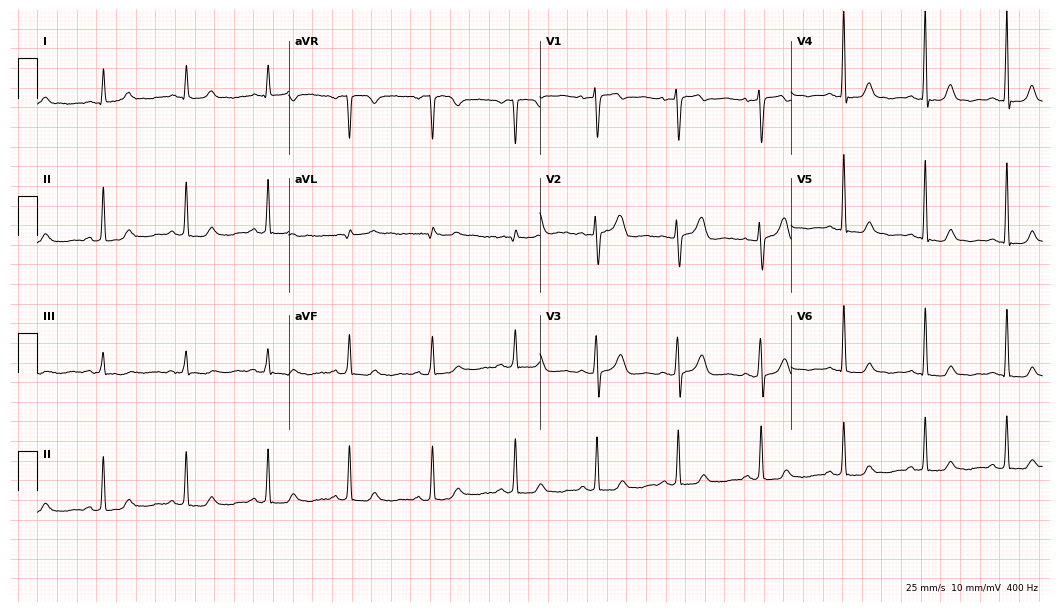
ECG (10.2-second recording at 400 Hz) — a female patient, 53 years old. Labelled as a normal ECG.